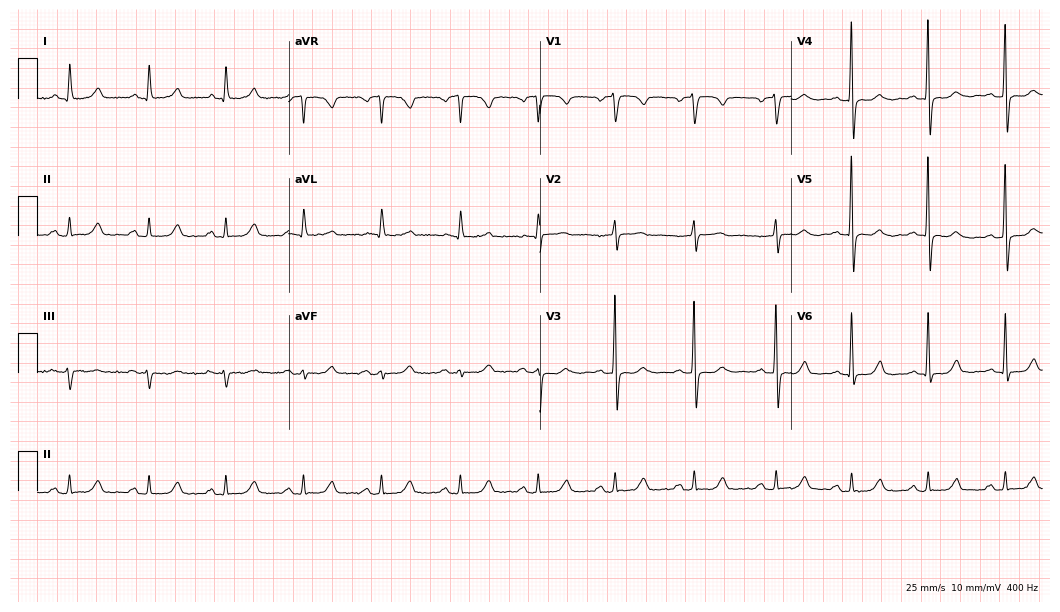
Electrocardiogram, a 62-year-old woman. Of the six screened findings (first-degree AV block, right bundle branch block (RBBB), left bundle branch block (LBBB), sinus bradycardia, atrial fibrillation (AF), sinus tachycardia), none is recorded. Other findings, if any, are not listed.